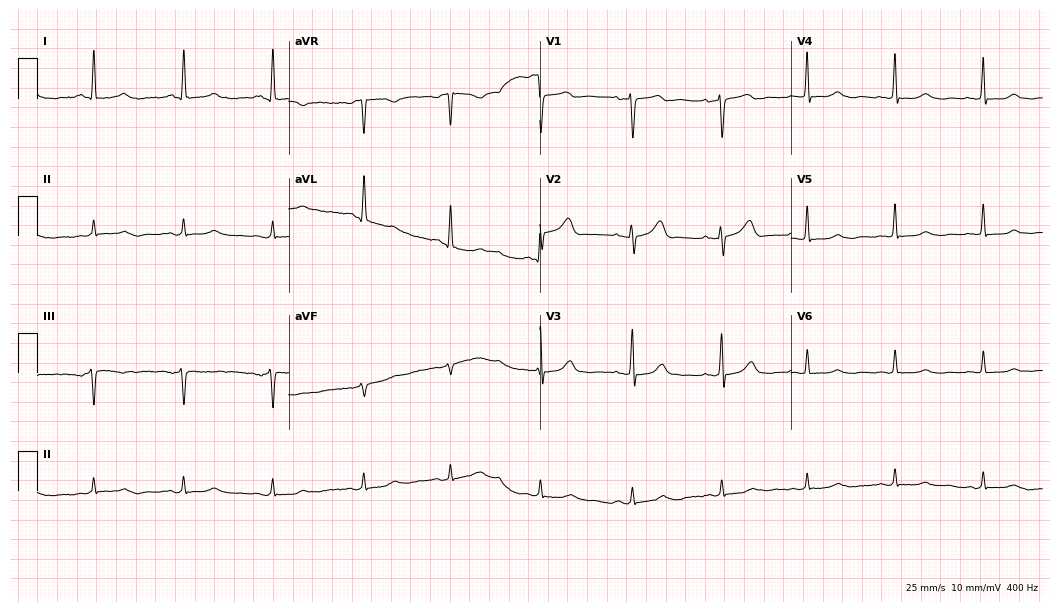
Resting 12-lead electrocardiogram. Patient: a female, 57 years old. None of these six findings is recorded: first-degree AV block, right bundle branch block, left bundle branch block, sinus bradycardia, atrial fibrillation, sinus tachycardia.